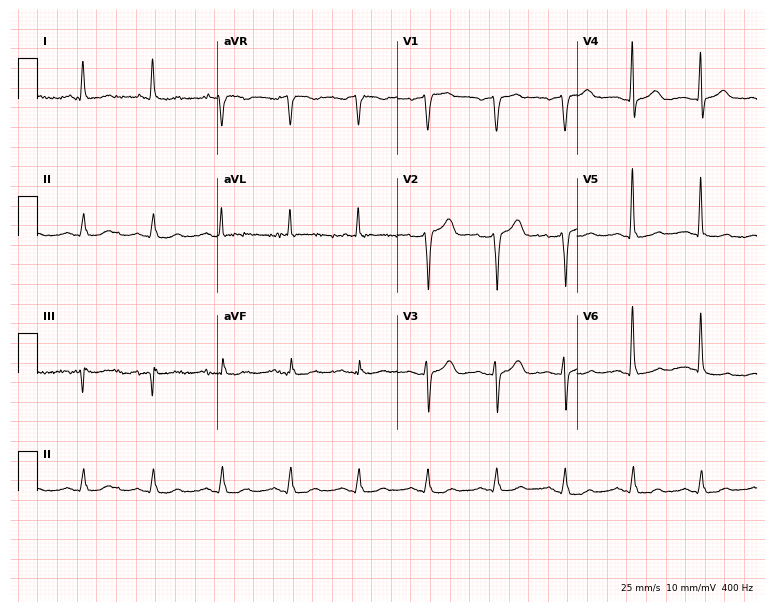
Resting 12-lead electrocardiogram. Patient: a male, 65 years old. Read as a normal ECG.